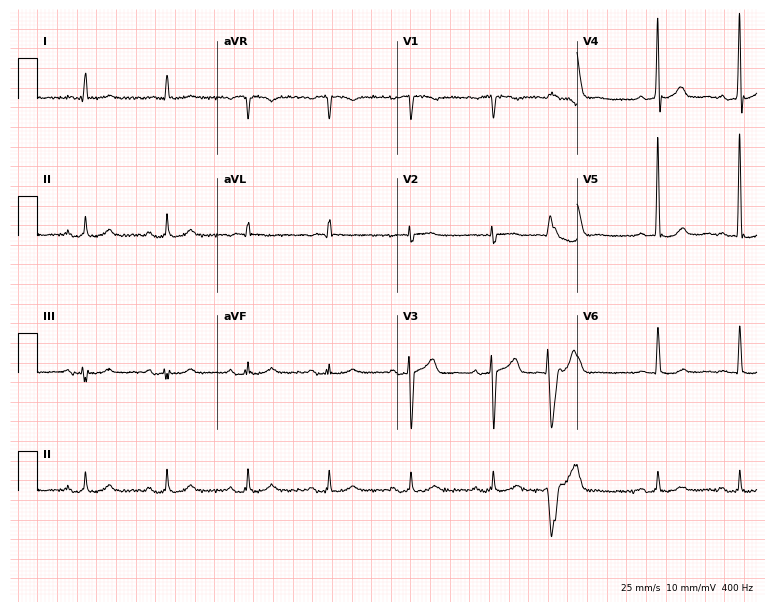
Resting 12-lead electrocardiogram. Patient: a male, 77 years old. None of these six findings is recorded: first-degree AV block, right bundle branch block, left bundle branch block, sinus bradycardia, atrial fibrillation, sinus tachycardia. Other findings, if any, are not listed.